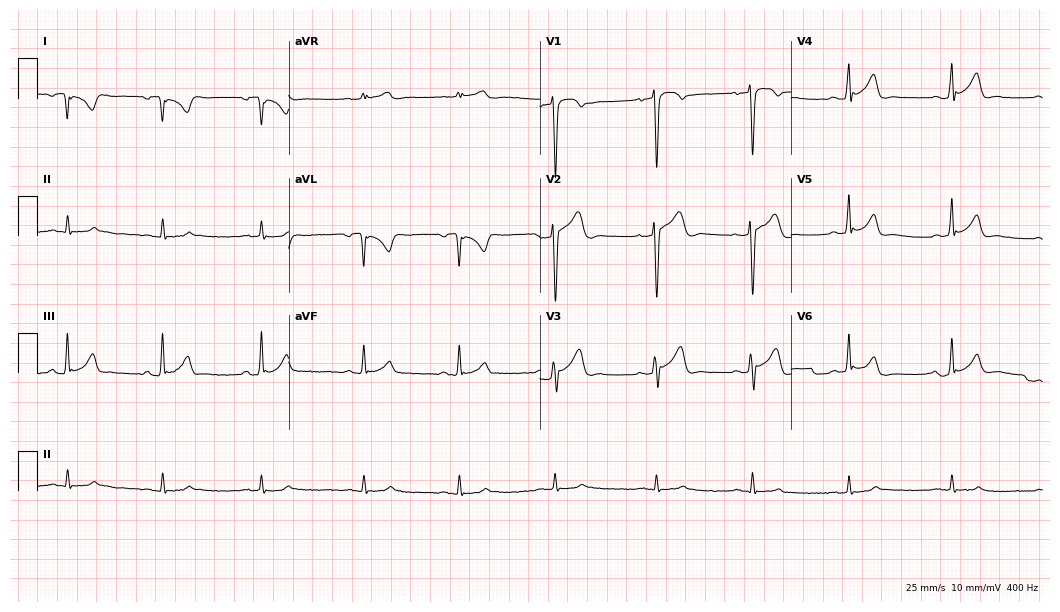
Electrocardiogram (10.2-second recording at 400 Hz), a 24-year-old male patient. Of the six screened findings (first-degree AV block, right bundle branch block, left bundle branch block, sinus bradycardia, atrial fibrillation, sinus tachycardia), none is recorded.